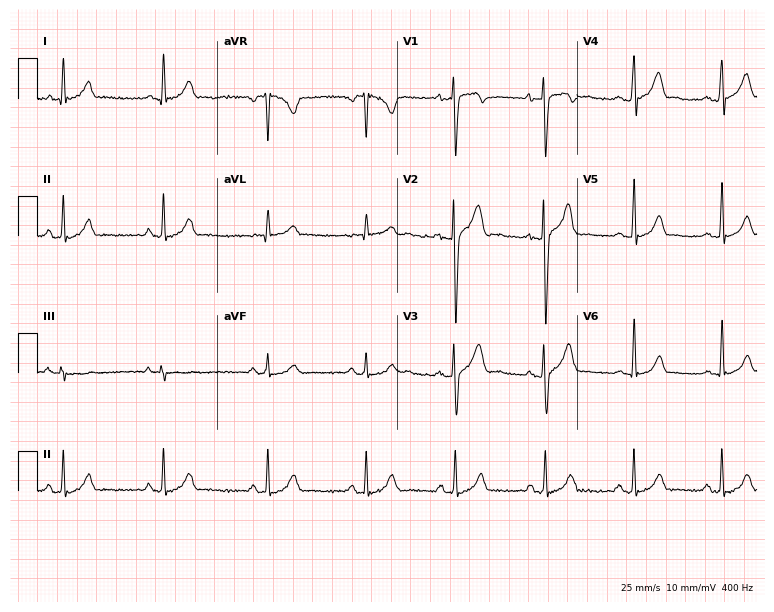
Resting 12-lead electrocardiogram. Patient: a male, 30 years old. Read as a normal ECG.